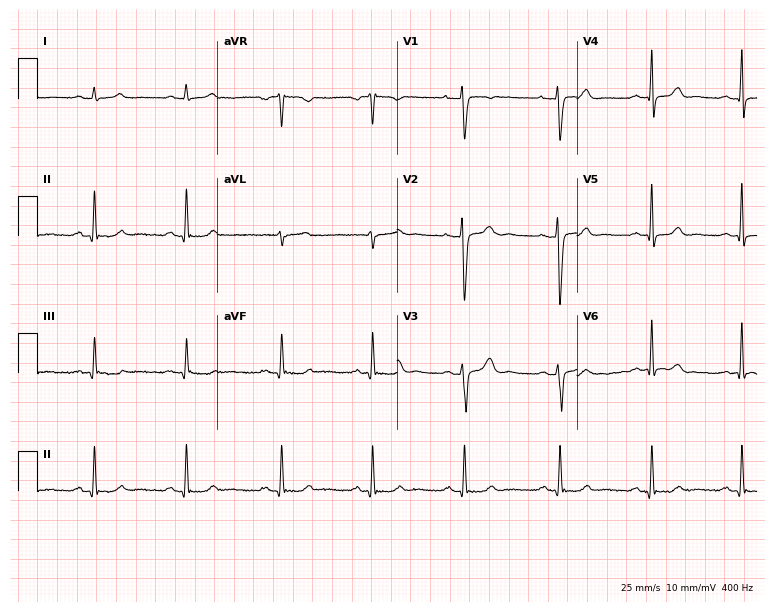
12-lead ECG from a 31-year-old woman. Labelled as a normal ECG.